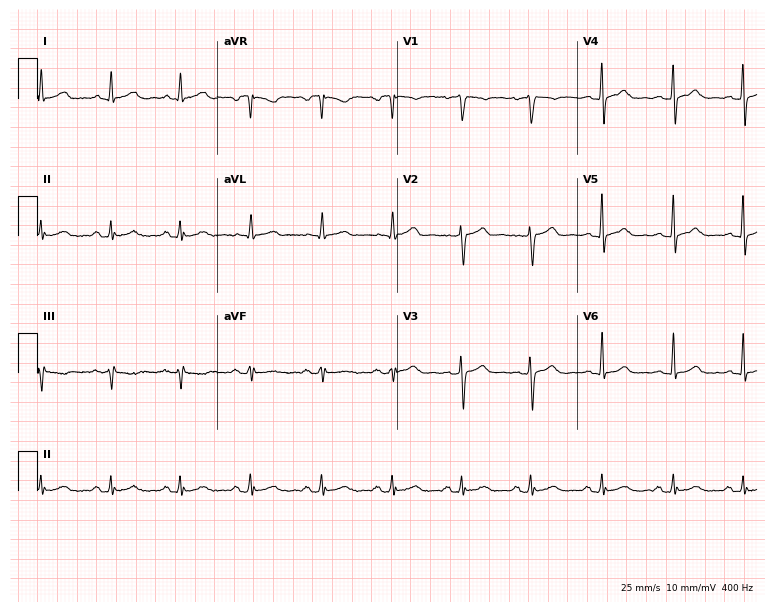
Standard 12-lead ECG recorded from a 43-year-old female (7.3-second recording at 400 Hz). Read as a normal ECG.